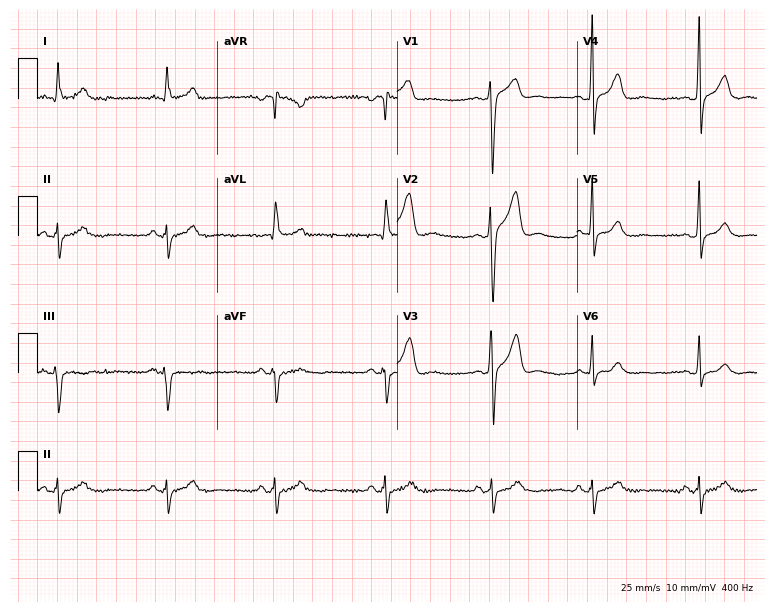
ECG — a man, 33 years old. Screened for six findings — first-degree AV block, right bundle branch block (RBBB), left bundle branch block (LBBB), sinus bradycardia, atrial fibrillation (AF), sinus tachycardia — none is recorded.